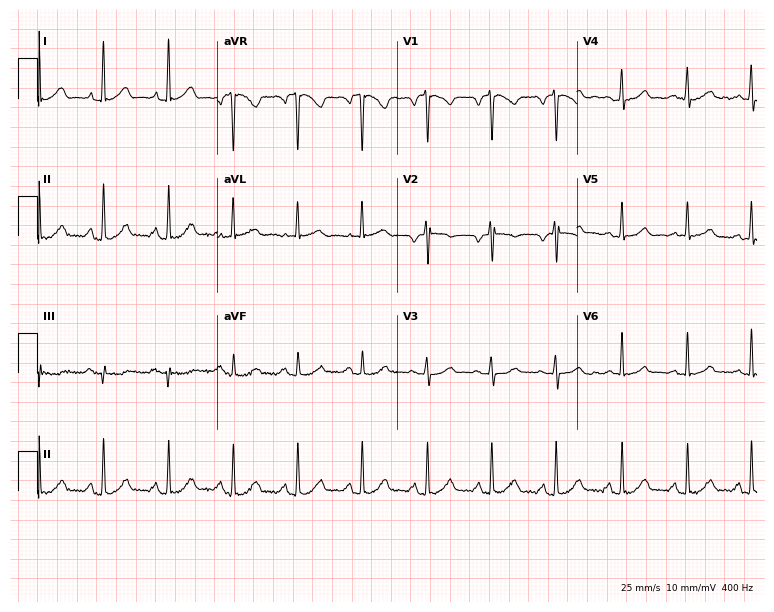
12-lead ECG from a 42-year-old female patient. Recorded interpretation: within normal limits.